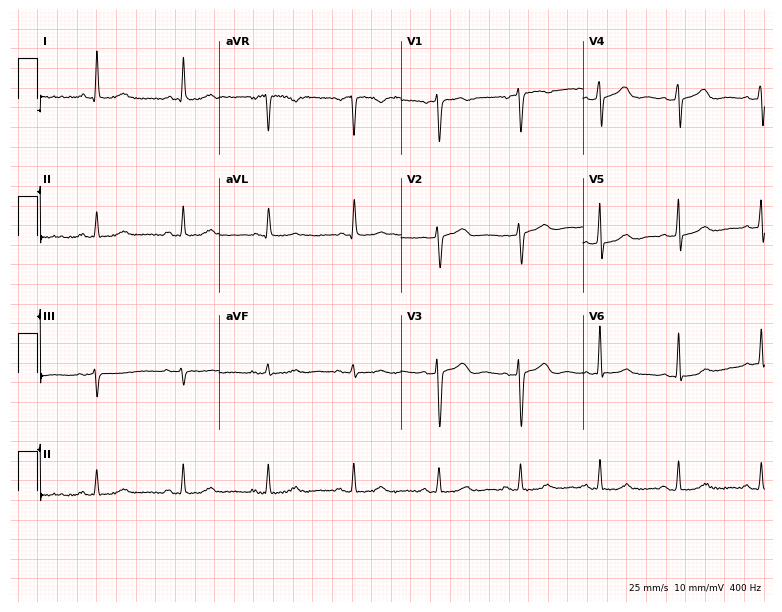
Resting 12-lead electrocardiogram (7.4-second recording at 400 Hz). Patient: a 52-year-old woman. None of these six findings is recorded: first-degree AV block, right bundle branch block (RBBB), left bundle branch block (LBBB), sinus bradycardia, atrial fibrillation (AF), sinus tachycardia. Other findings, if any, are not listed.